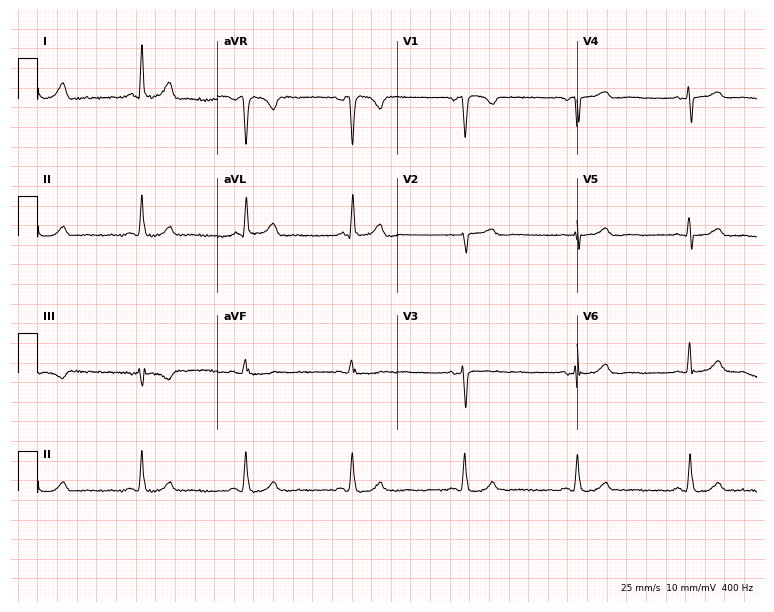
12-lead ECG from a female, 62 years old. No first-degree AV block, right bundle branch block, left bundle branch block, sinus bradycardia, atrial fibrillation or sinus tachycardia recorded for this tracing. Other findings, if any, are not listed.